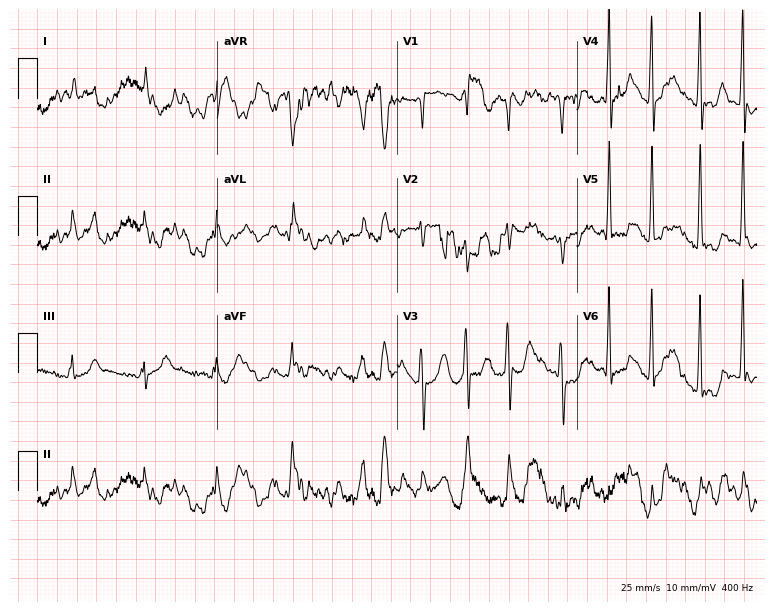
Standard 12-lead ECG recorded from a female, 70 years old. None of these six findings is recorded: first-degree AV block, right bundle branch block (RBBB), left bundle branch block (LBBB), sinus bradycardia, atrial fibrillation (AF), sinus tachycardia.